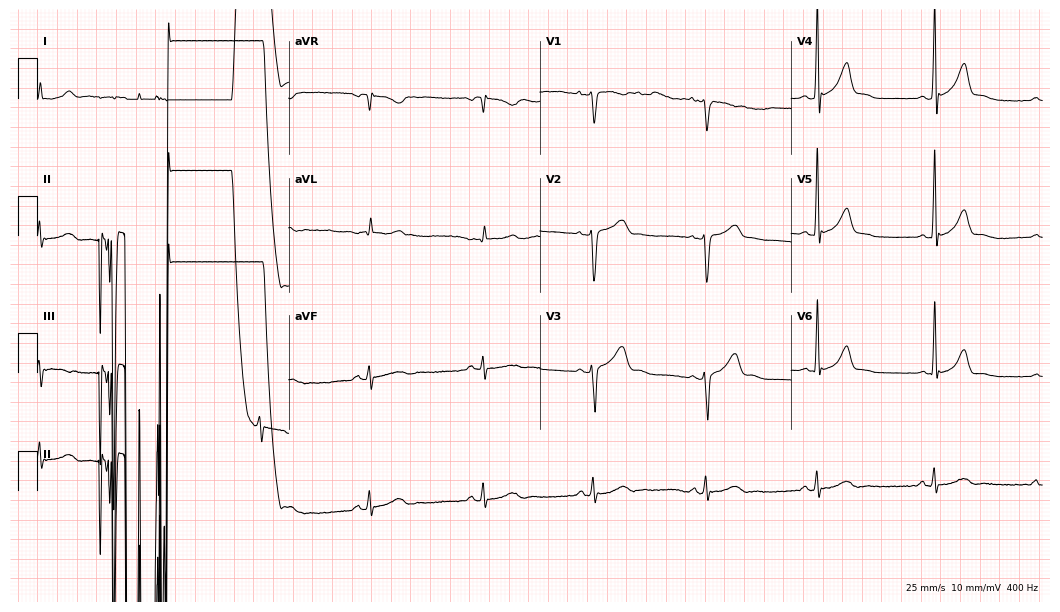
12-lead ECG from a male patient, 43 years old (10.2-second recording at 400 Hz). Recorded interpretation: within normal limits.